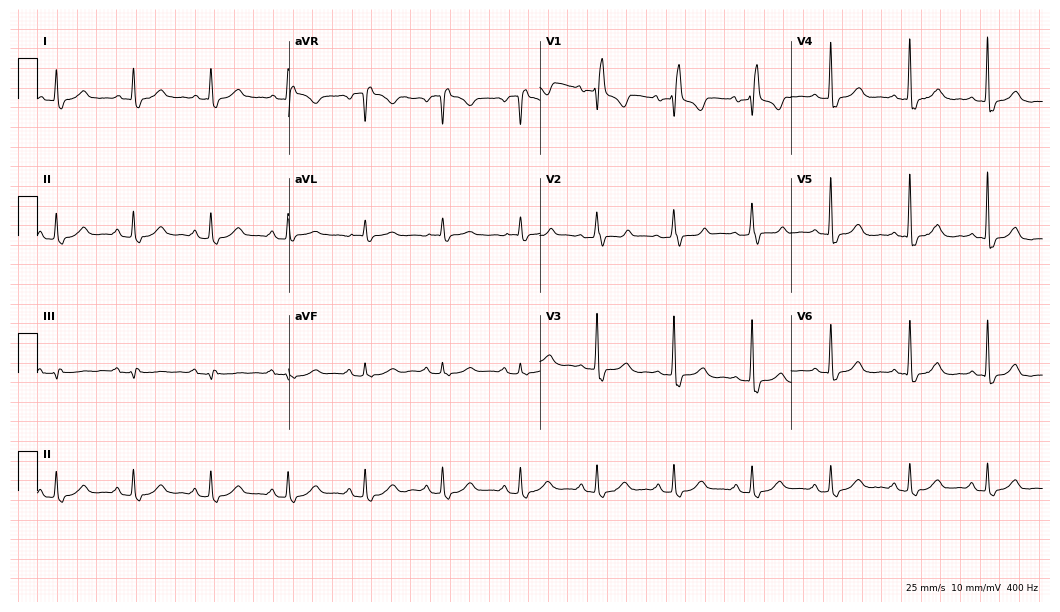
Electrocardiogram, a woman, 77 years old. Interpretation includes right bundle branch block (RBBB).